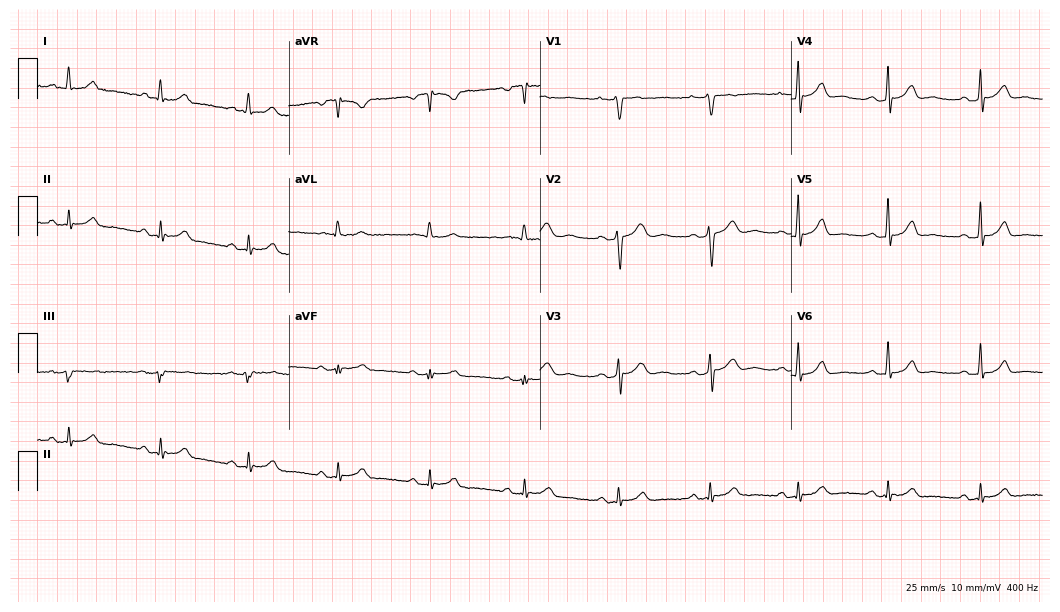
Standard 12-lead ECG recorded from a man, 35 years old (10.2-second recording at 400 Hz). Read as a normal ECG.